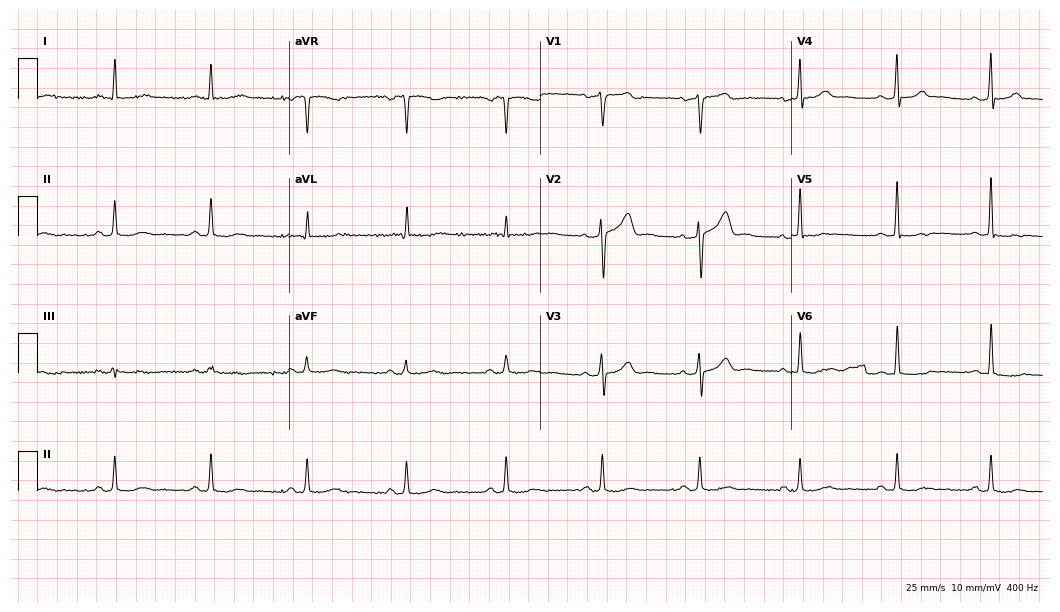
Resting 12-lead electrocardiogram. Patient: a male, 59 years old. None of these six findings is recorded: first-degree AV block, right bundle branch block (RBBB), left bundle branch block (LBBB), sinus bradycardia, atrial fibrillation (AF), sinus tachycardia.